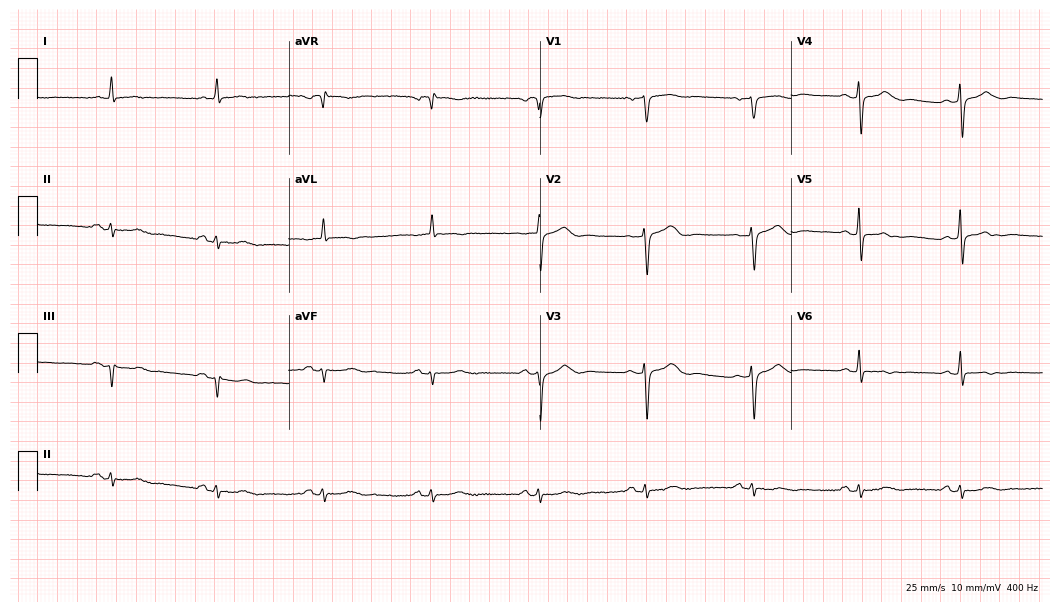
12-lead ECG from a 76-year-old female patient. No first-degree AV block, right bundle branch block, left bundle branch block, sinus bradycardia, atrial fibrillation or sinus tachycardia recorded for this tracing. Findings outside these six are not listed.